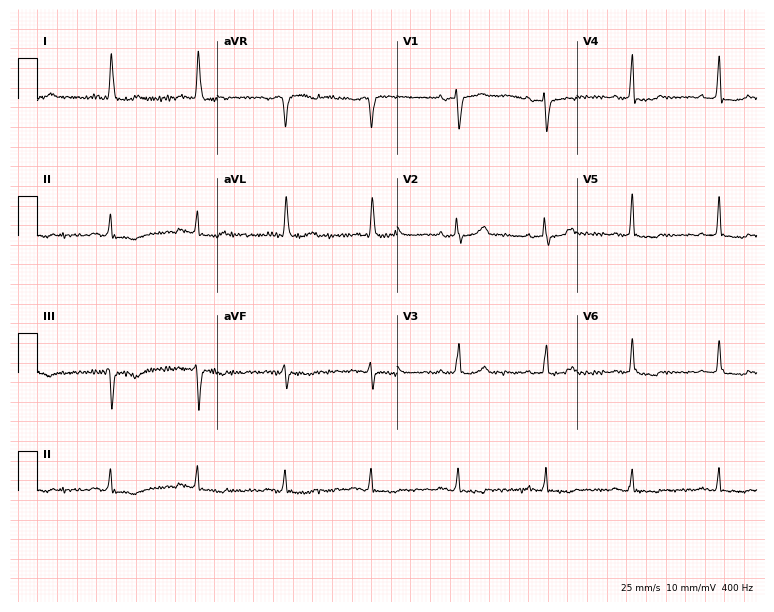
12-lead ECG from a woman, 62 years old (7.3-second recording at 400 Hz). No first-degree AV block, right bundle branch block, left bundle branch block, sinus bradycardia, atrial fibrillation or sinus tachycardia recorded for this tracing. Only these six findings were labelled.